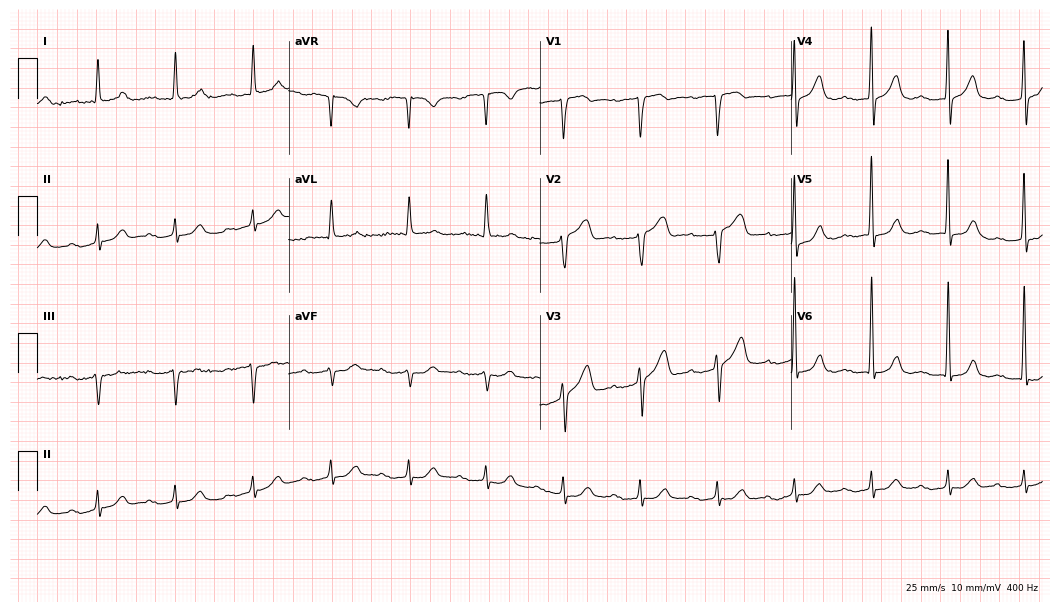
Electrocardiogram (10.2-second recording at 400 Hz), a male patient, 83 years old. Overall reading on record: normal ECG.